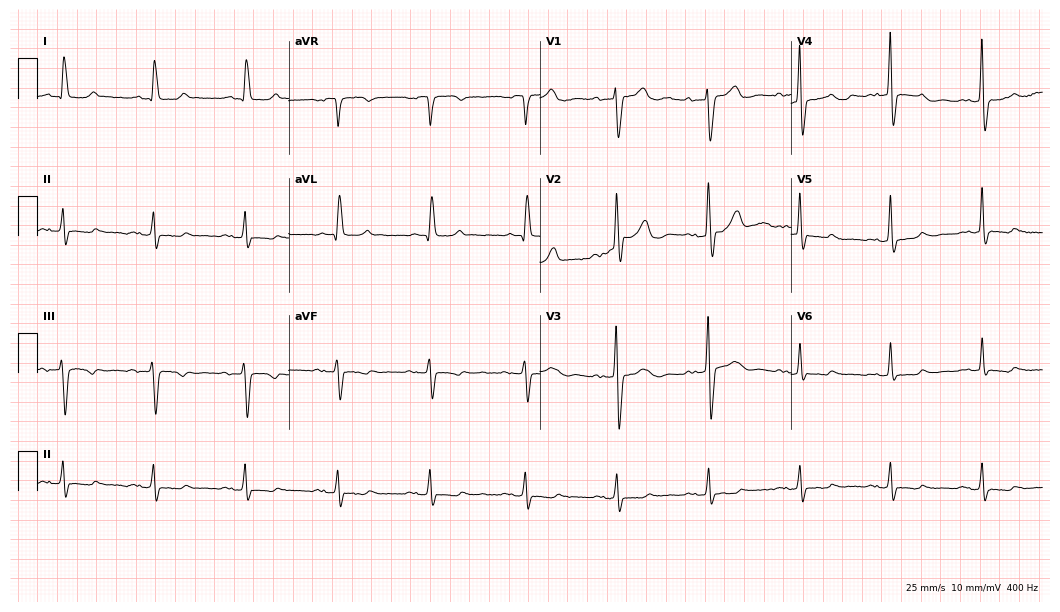
ECG (10.2-second recording at 400 Hz) — an 85-year-old female. Screened for six findings — first-degree AV block, right bundle branch block, left bundle branch block, sinus bradycardia, atrial fibrillation, sinus tachycardia — none is recorded.